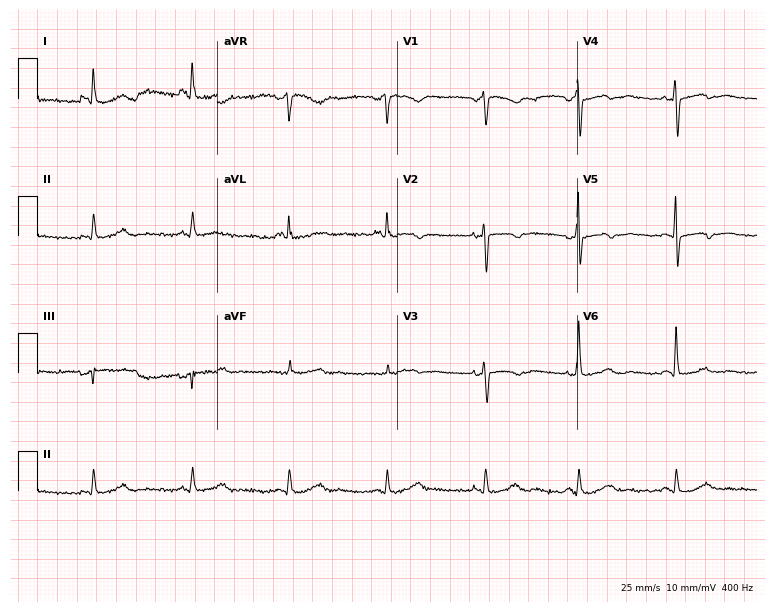
Electrocardiogram, a 58-year-old woman. Overall reading on record: normal ECG.